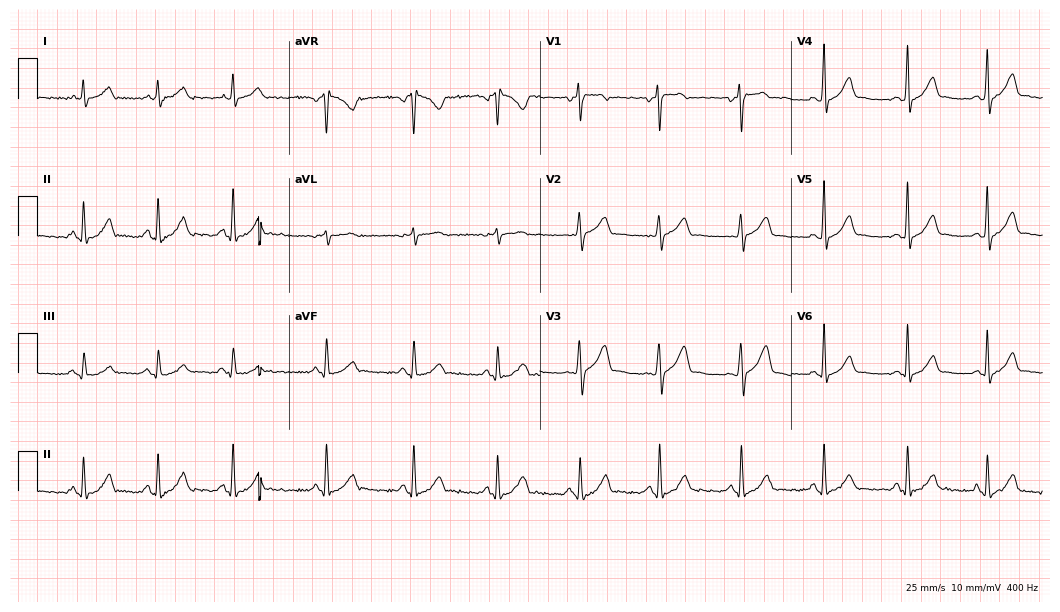
12-lead ECG from a male patient, 32 years old. Recorded interpretation: within normal limits.